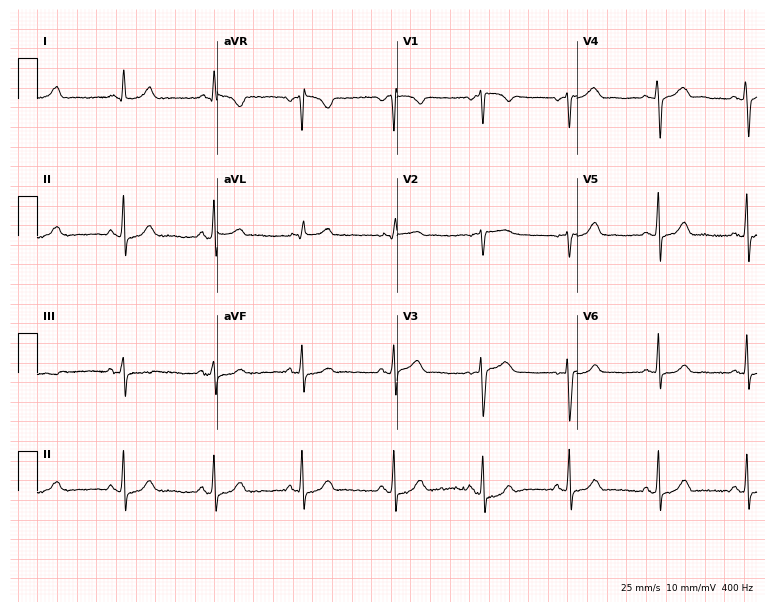
Resting 12-lead electrocardiogram. Patient: a 52-year-old female. Read as a normal ECG.